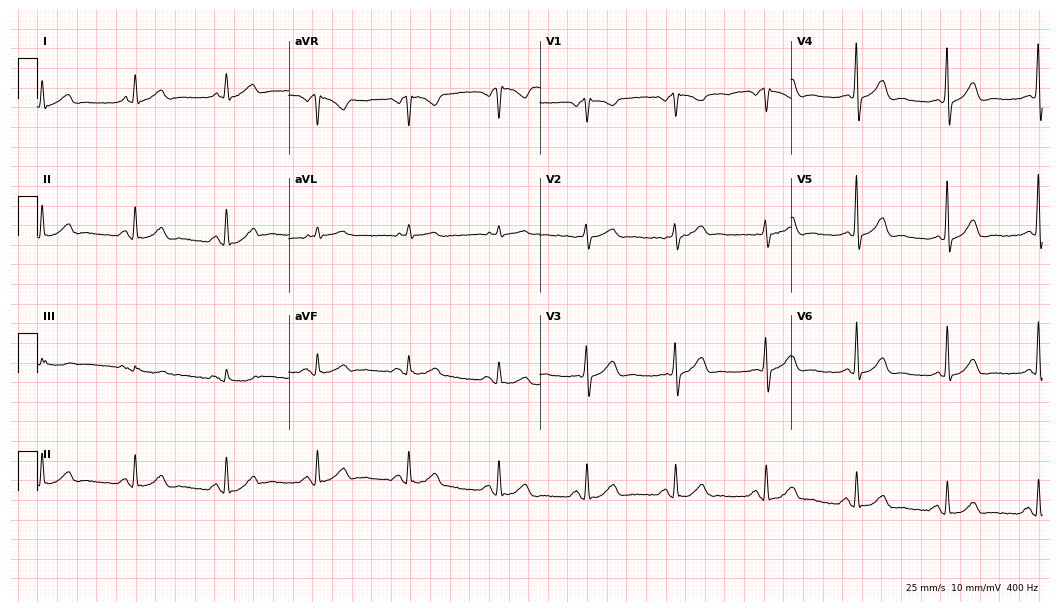
ECG (10.2-second recording at 400 Hz) — a woman, 66 years old. Screened for six findings — first-degree AV block, right bundle branch block (RBBB), left bundle branch block (LBBB), sinus bradycardia, atrial fibrillation (AF), sinus tachycardia — none is recorded. Other findings, if any, are not listed.